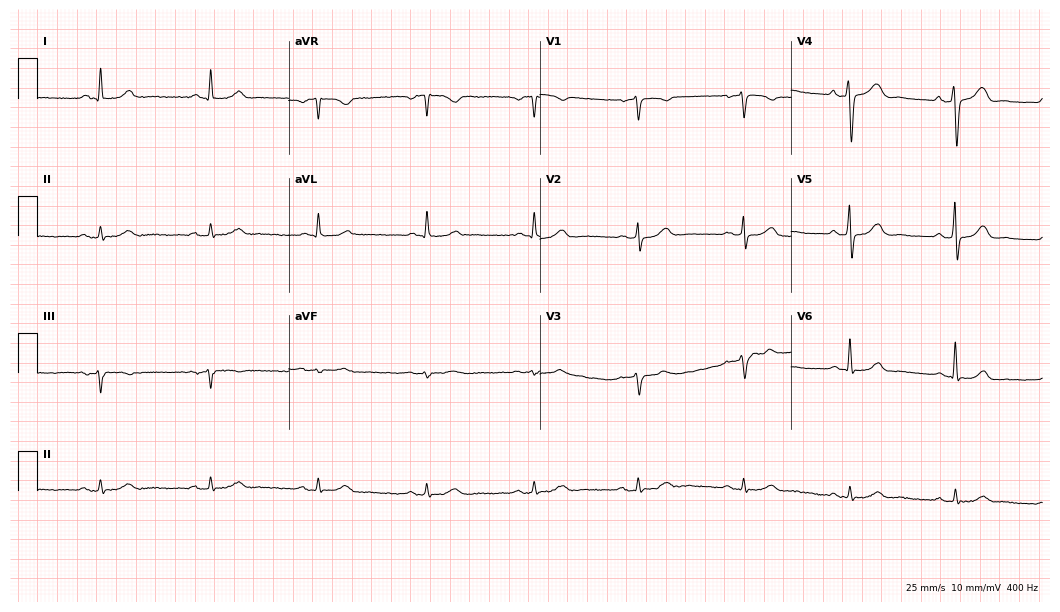
12-lead ECG from a female, 68 years old. Recorded interpretation: within normal limits.